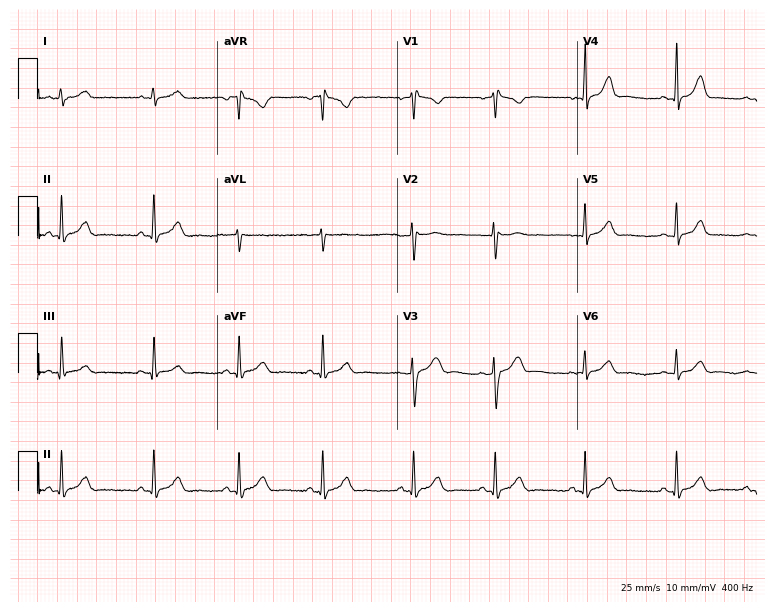
Electrocardiogram (7.3-second recording at 400 Hz), a woman, 18 years old. Overall reading on record: normal ECG.